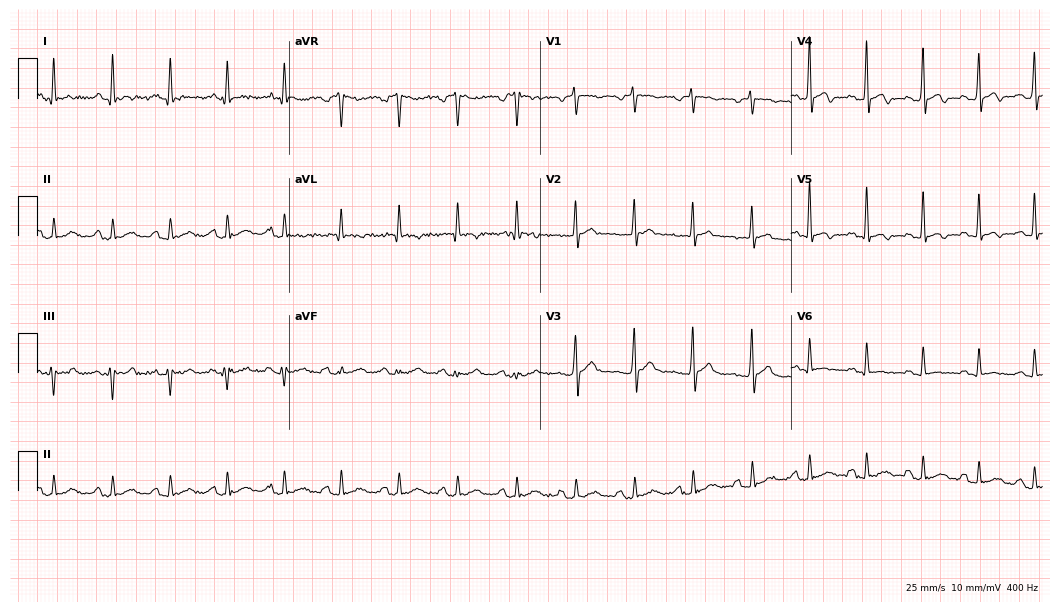
12-lead ECG from a male patient, 44 years old (10.2-second recording at 400 Hz). Shows sinus tachycardia (a sinus rate of 100 beats per minute or more).